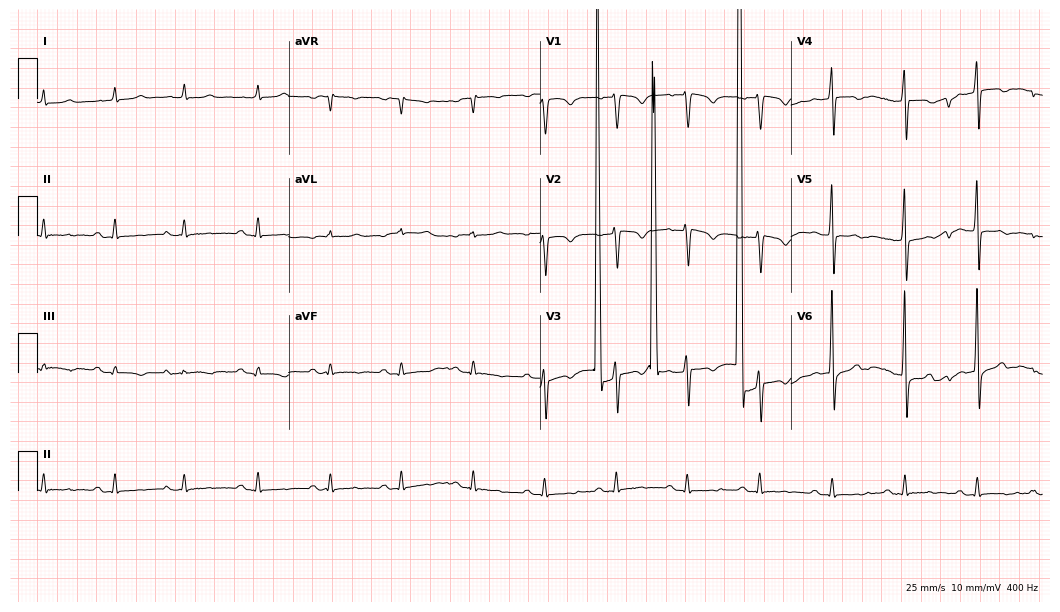
12-lead ECG from an 84-year-old male. Screened for six findings — first-degree AV block, right bundle branch block (RBBB), left bundle branch block (LBBB), sinus bradycardia, atrial fibrillation (AF), sinus tachycardia — none is recorded.